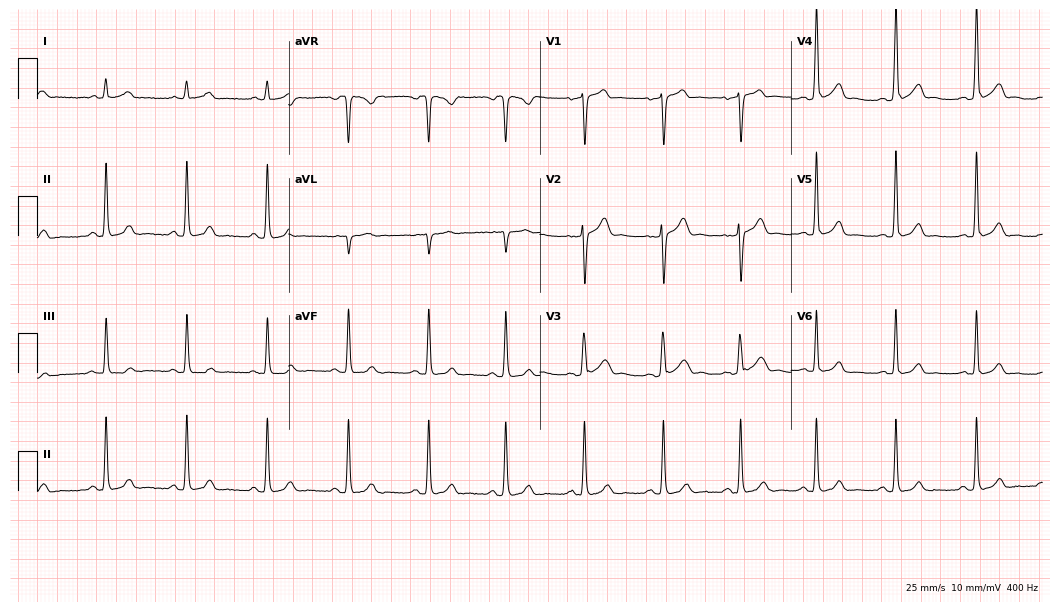
Resting 12-lead electrocardiogram (10.2-second recording at 400 Hz). Patient: a male, 58 years old. Read as a normal ECG.